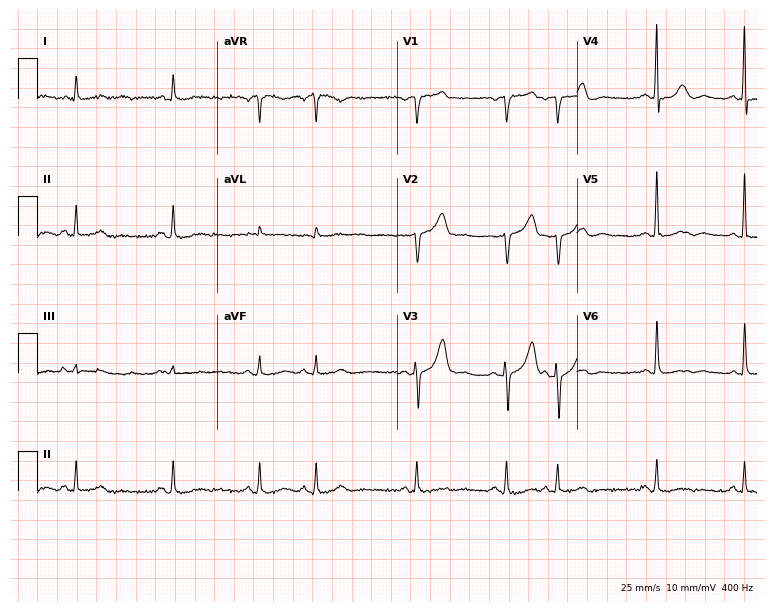
12-lead ECG from a 47-year-old male patient (7.3-second recording at 400 Hz). No first-degree AV block, right bundle branch block, left bundle branch block, sinus bradycardia, atrial fibrillation or sinus tachycardia recorded for this tracing. Findings outside these six are not listed.